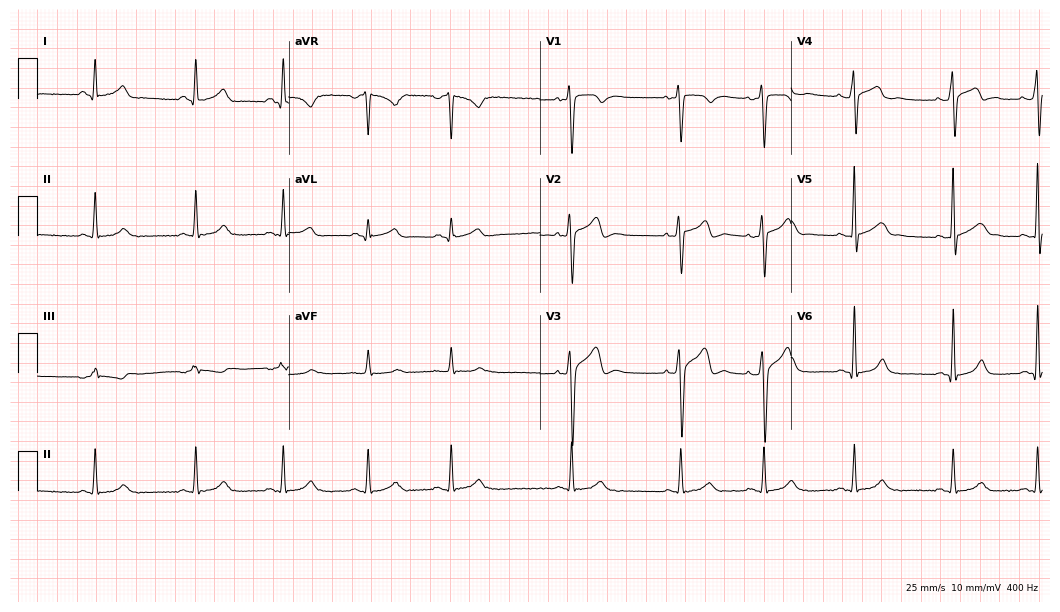
Standard 12-lead ECG recorded from a male, 31 years old. None of these six findings is recorded: first-degree AV block, right bundle branch block, left bundle branch block, sinus bradycardia, atrial fibrillation, sinus tachycardia. Findings outside these six are not listed.